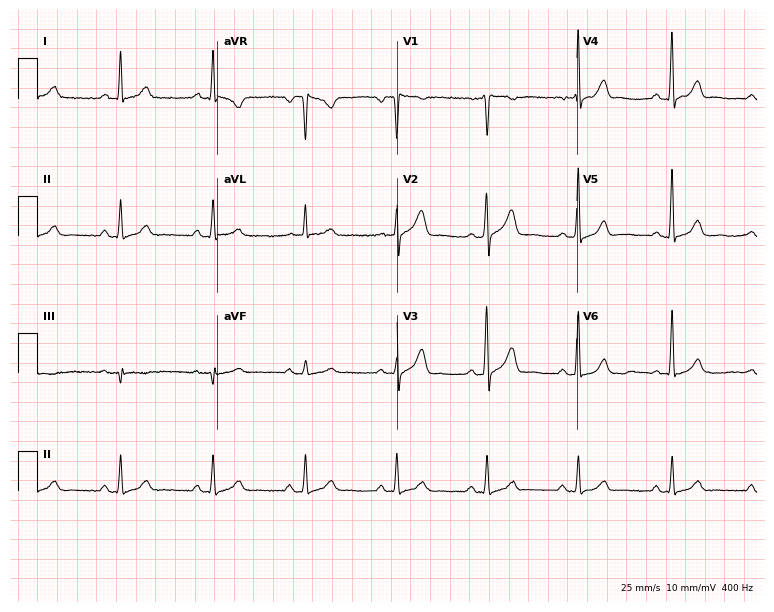
12-lead ECG from a man, 59 years old (7.3-second recording at 400 Hz). Recorded interpretation: within normal limits.